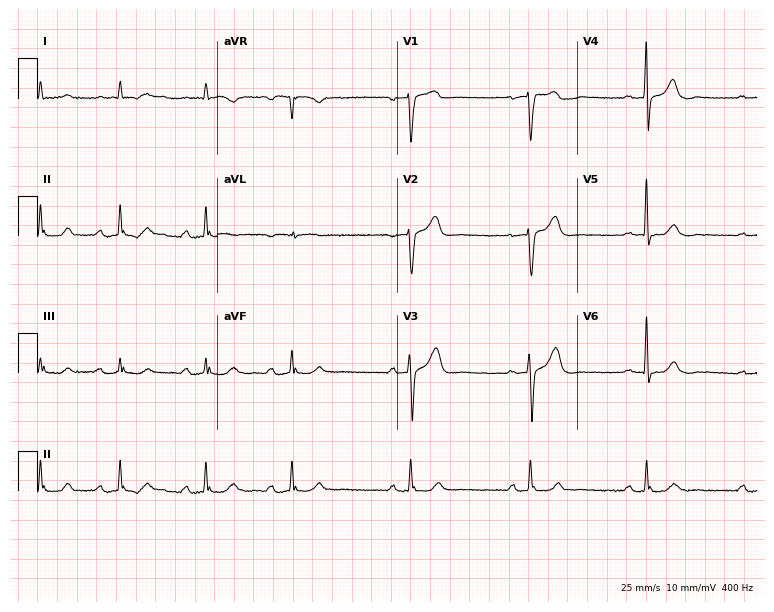
Standard 12-lead ECG recorded from a man, 74 years old (7.3-second recording at 400 Hz). Read as a normal ECG.